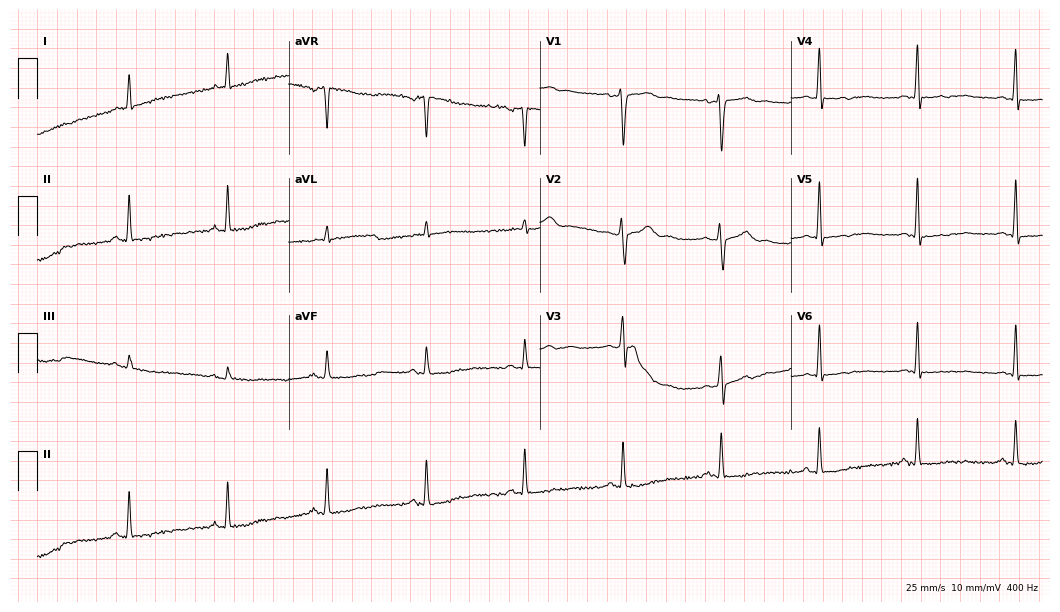
12-lead ECG from a 54-year-old female (10.2-second recording at 400 Hz). Recorded interpretation: within normal limits.